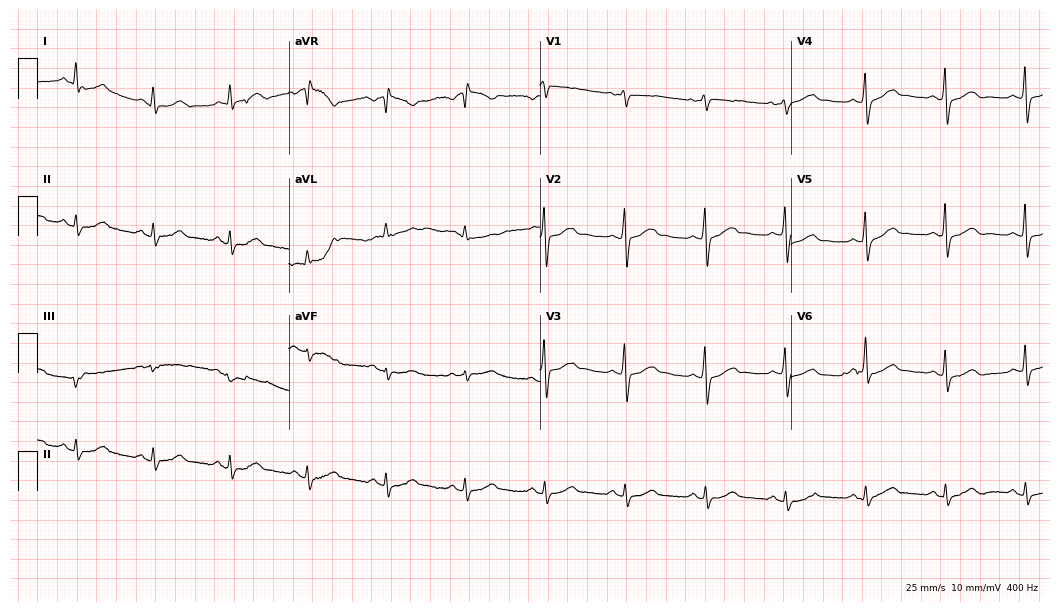
Standard 12-lead ECG recorded from a female patient, 65 years old. Read as a normal ECG.